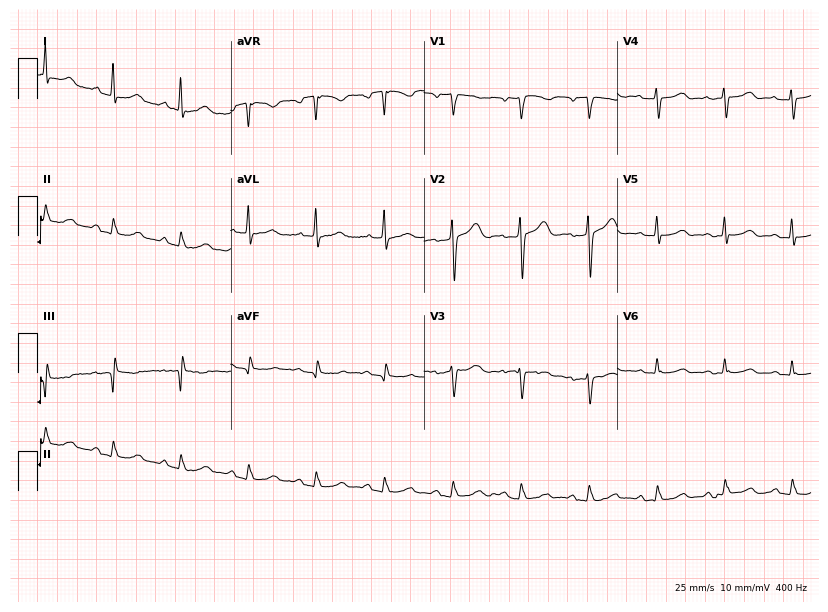
Standard 12-lead ECG recorded from a 54-year-old female (7.9-second recording at 400 Hz). None of these six findings is recorded: first-degree AV block, right bundle branch block (RBBB), left bundle branch block (LBBB), sinus bradycardia, atrial fibrillation (AF), sinus tachycardia. Only these six findings were labelled.